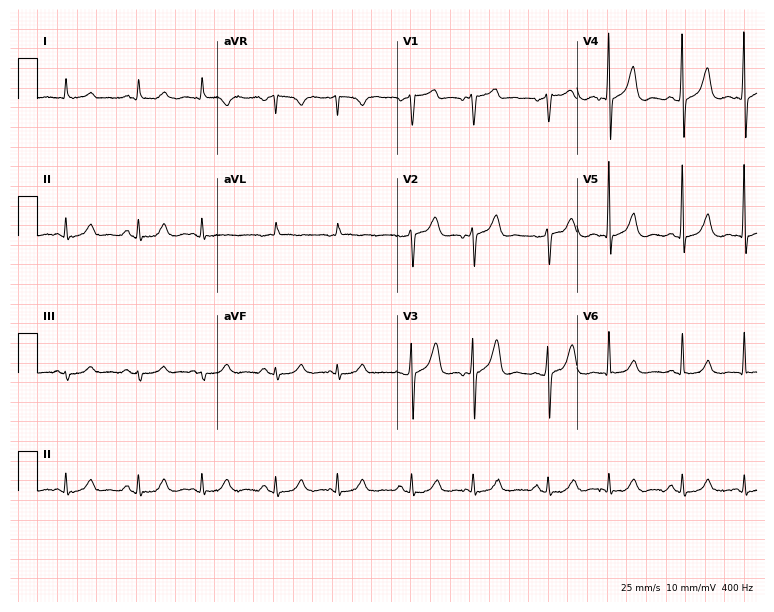
Resting 12-lead electrocardiogram (7.3-second recording at 400 Hz). Patient: a 78-year-old man. Read as a normal ECG.